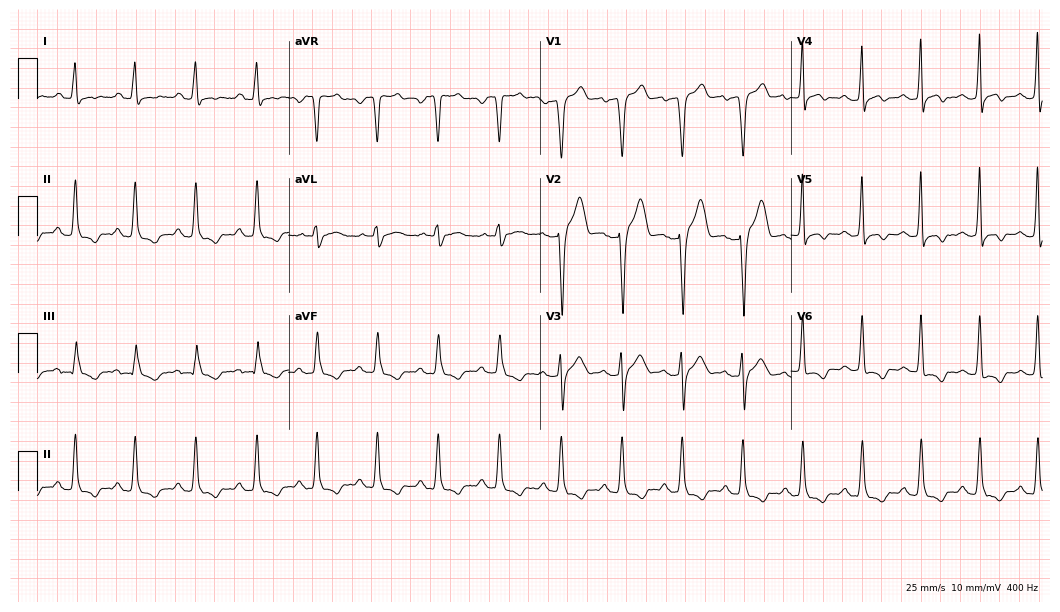
12-lead ECG from a 42-year-old male. No first-degree AV block, right bundle branch block (RBBB), left bundle branch block (LBBB), sinus bradycardia, atrial fibrillation (AF) or sinus tachycardia recorded for this tracing.